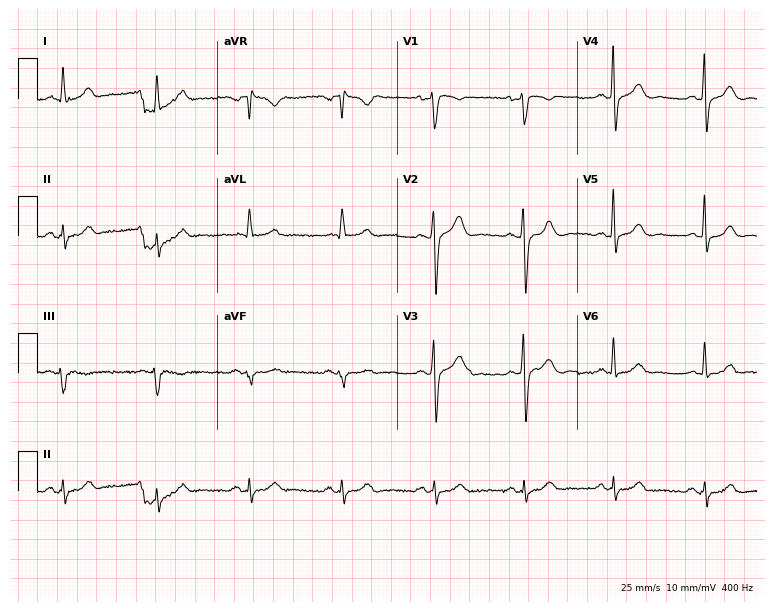
ECG (7.3-second recording at 400 Hz) — a male, 56 years old. Screened for six findings — first-degree AV block, right bundle branch block (RBBB), left bundle branch block (LBBB), sinus bradycardia, atrial fibrillation (AF), sinus tachycardia — none is recorded.